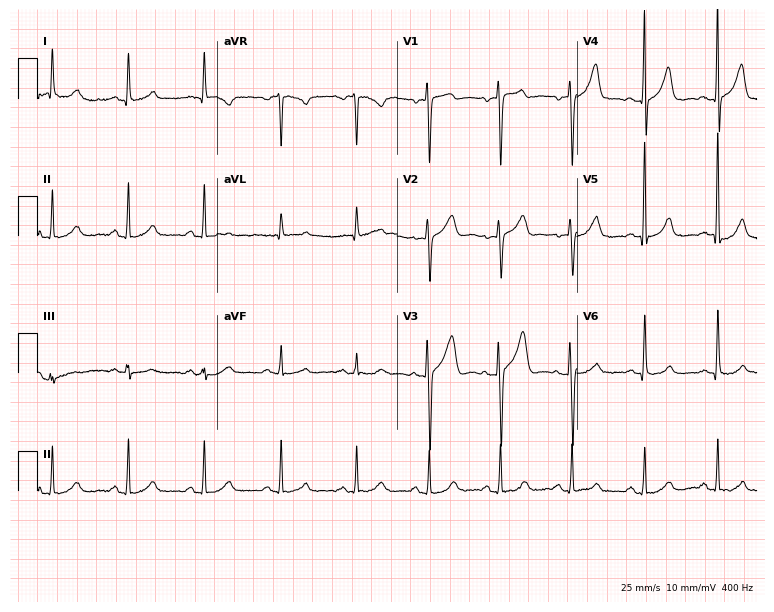
Resting 12-lead electrocardiogram. Patient: a 47-year-old male. Read as a normal ECG.